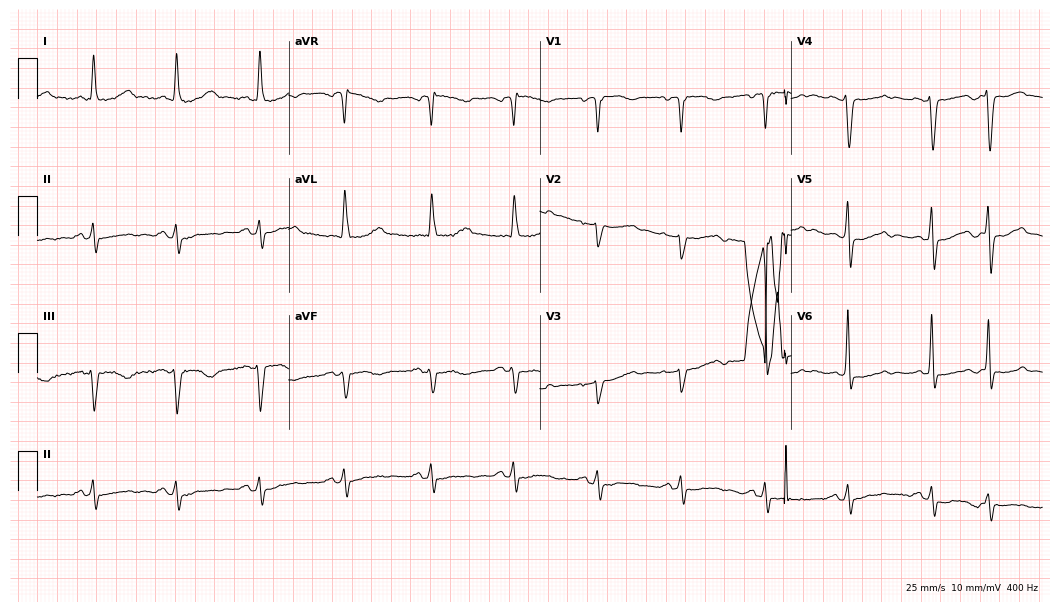
Resting 12-lead electrocardiogram. Patient: an 81-year-old female. None of these six findings is recorded: first-degree AV block, right bundle branch block, left bundle branch block, sinus bradycardia, atrial fibrillation, sinus tachycardia.